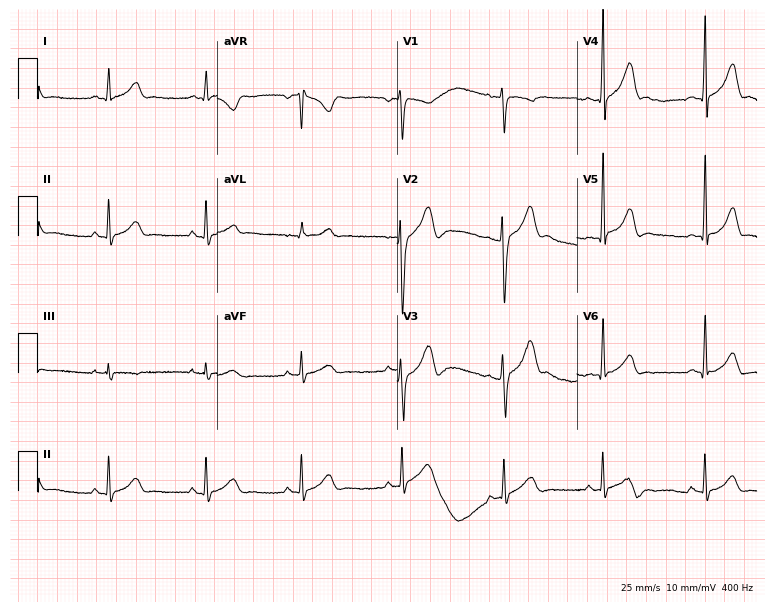
12-lead ECG from a 20-year-old man (7.3-second recording at 400 Hz). Recorded interpretation: within normal limits.